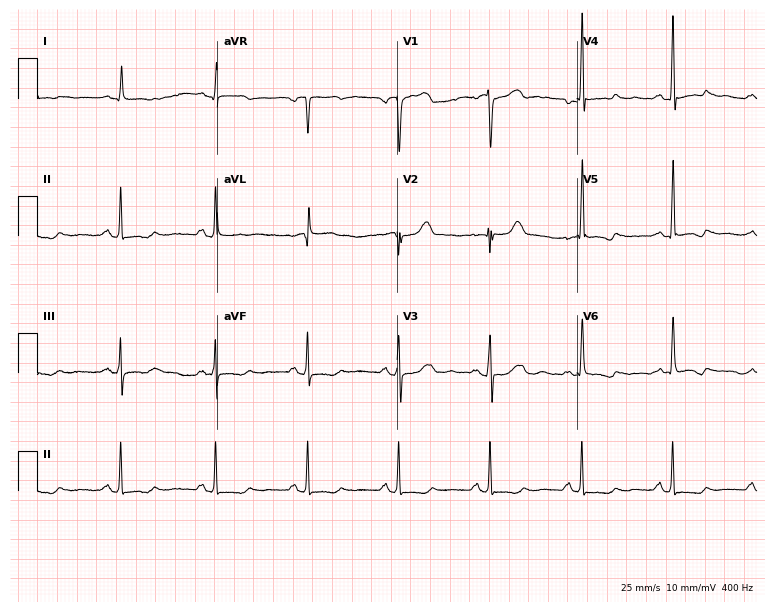
Standard 12-lead ECG recorded from a 54-year-old female. None of these six findings is recorded: first-degree AV block, right bundle branch block (RBBB), left bundle branch block (LBBB), sinus bradycardia, atrial fibrillation (AF), sinus tachycardia. Other findings, if any, are not listed.